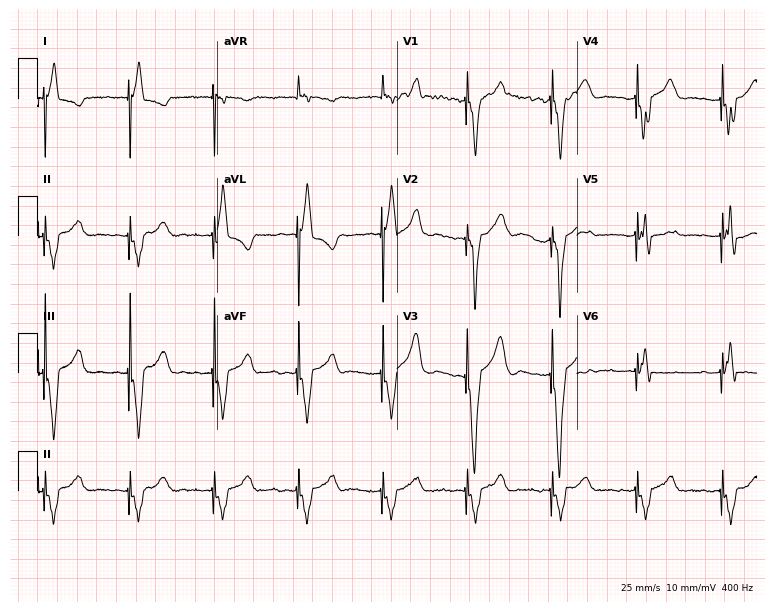
ECG (7.3-second recording at 400 Hz) — a woman, 81 years old. Screened for six findings — first-degree AV block, right bundle branch block, left bundle branch block, sinus bradycardia, atrial fibrillation, sinus tachycardia — none is recorded.